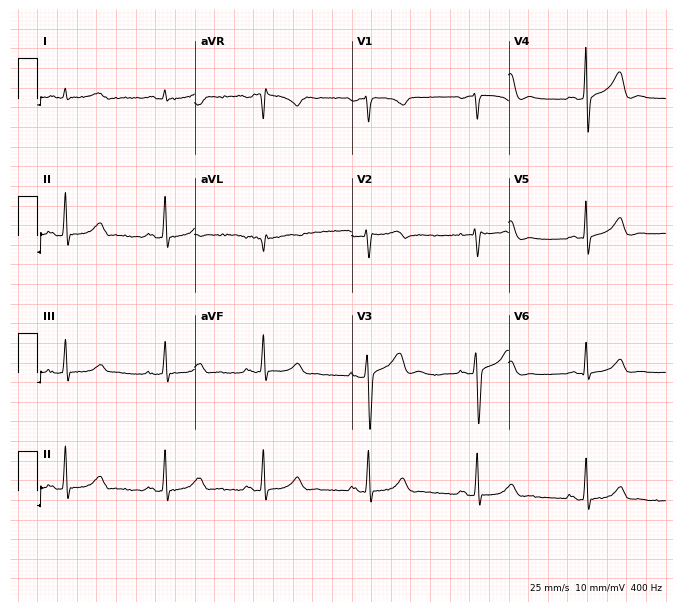
12-lead ECG (6.4-second recording at 400 Hz) from a male patient, 53 years old. Screened for six findings — first-degree AV block, right bundle branch block (RBBB), left bundle branch block (LBBB), sinus bradycardia, atrial fibrillation (AF), sinus tachycardia — none is recorded.